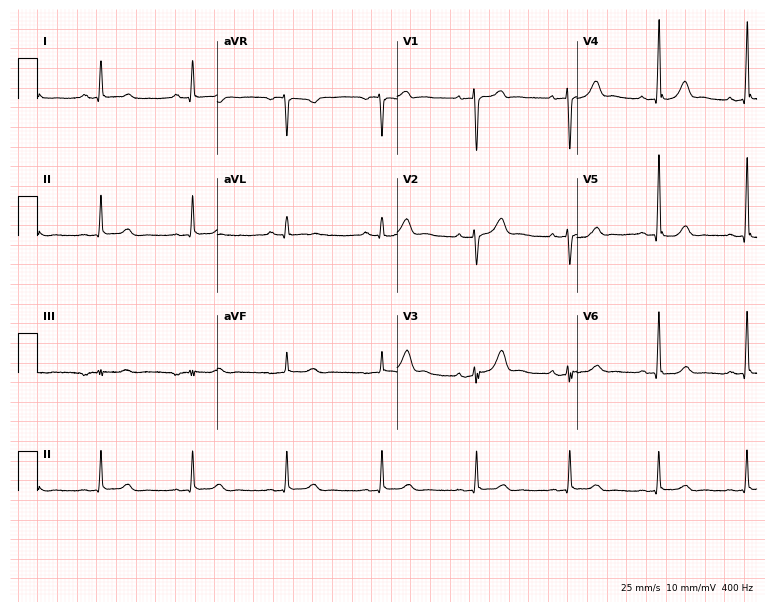
12-lead ECG from a male patient, 42 years old. Screened for six findings — first-degree AV block, right bundle branch block, left bundle branch block, sinus bradycardia, atrial fibrillation, sinus tachycardia — none is recorded.